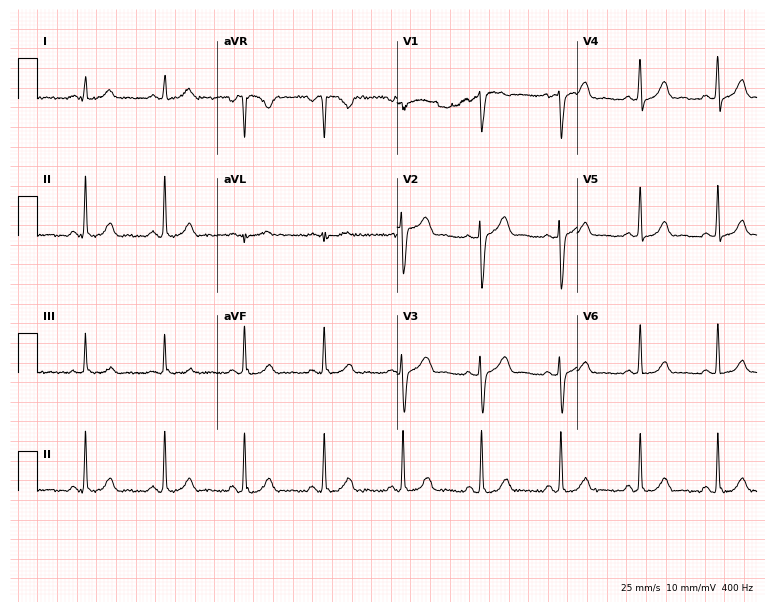
ECG — a 49-year-old woman. Labelled as a normal ECG.